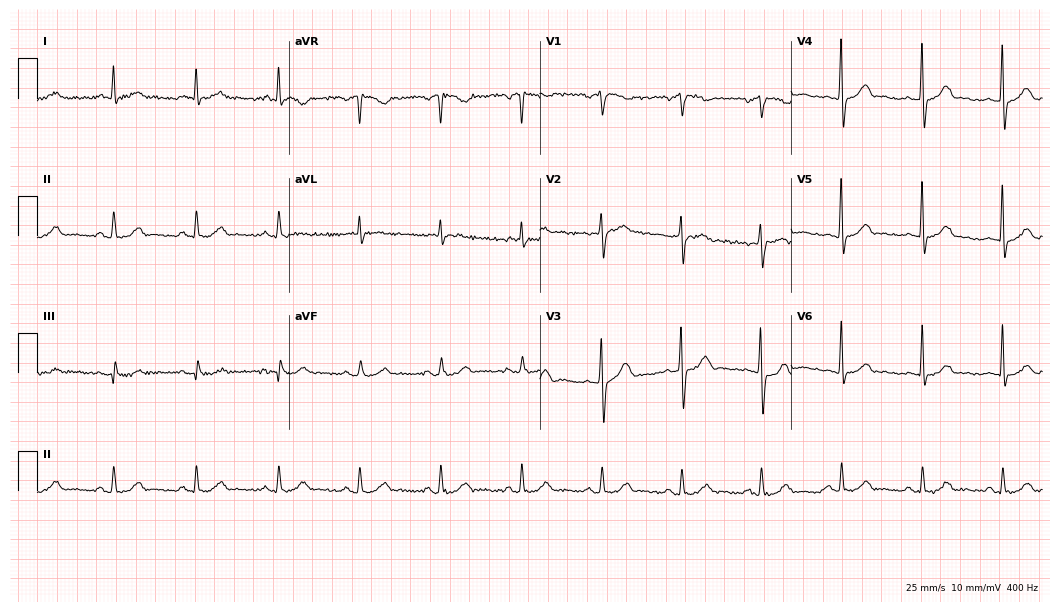
12-lead ECG from a 71-year-old man (10.2-second recording at 400 Hz). Recorded interpretation: within normal limits.